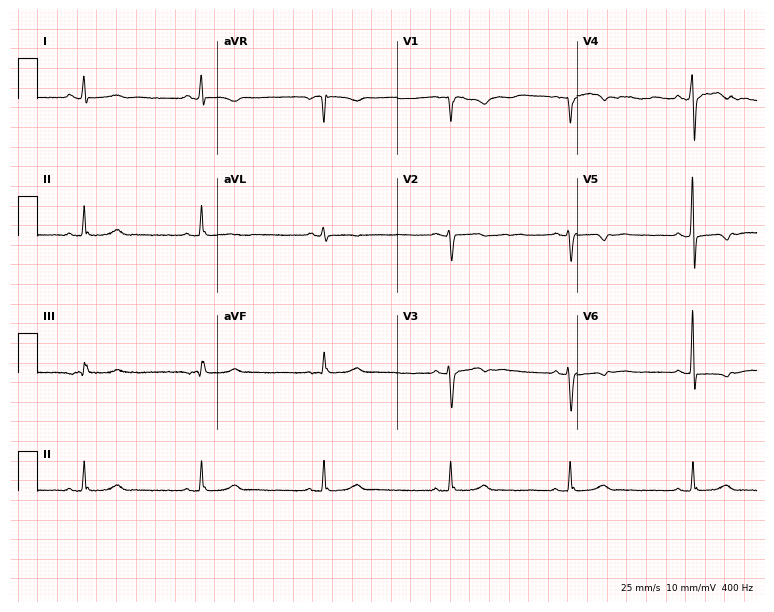
Standard 12-lead ECG recorded from a female patient, 84 years old. None of these six findings is recorded: first-degree AV block, right bundle branch block, left bundle branch block, sinus bradycardia, atrial fibrillation, sinus tachycardia. Other findings, if any, are not listed.